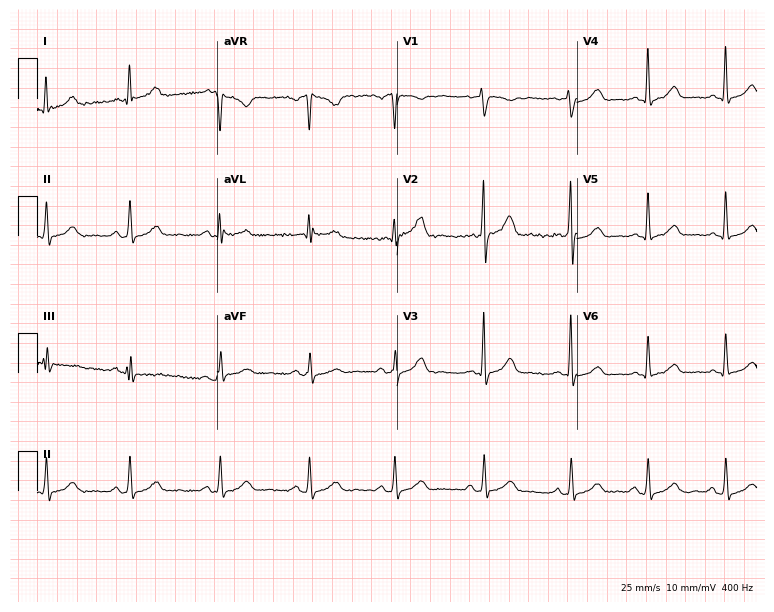
12-lead ECG from a female patient, 33 years old (7.3-second recording at 400 Hz). No first-degree AV block, right bundle branch block, left bundle branch block, sinus bradycardia, atrial fibrillation or sinus tachycardia recorded for this tracing.